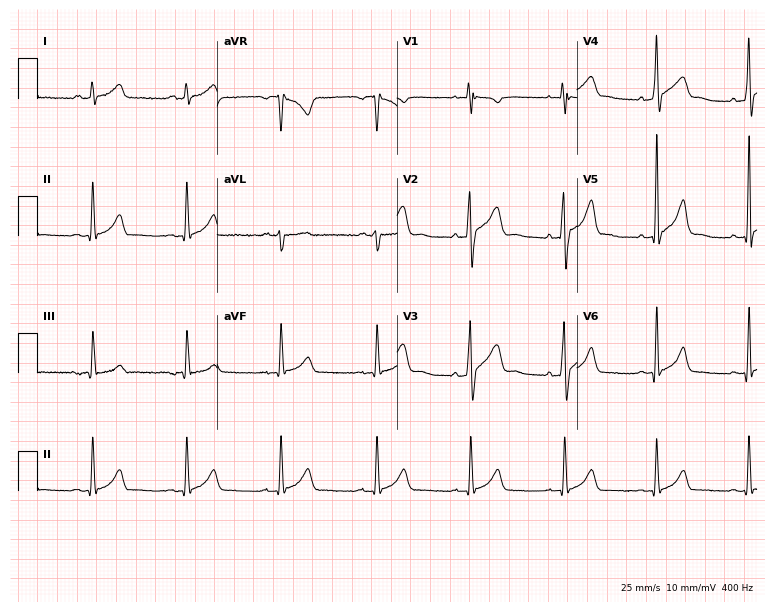
Standard 12-lead ECG recorded from a 30-year-old male (7.3-second recording at 400 Hz). Read as a normal ECG.